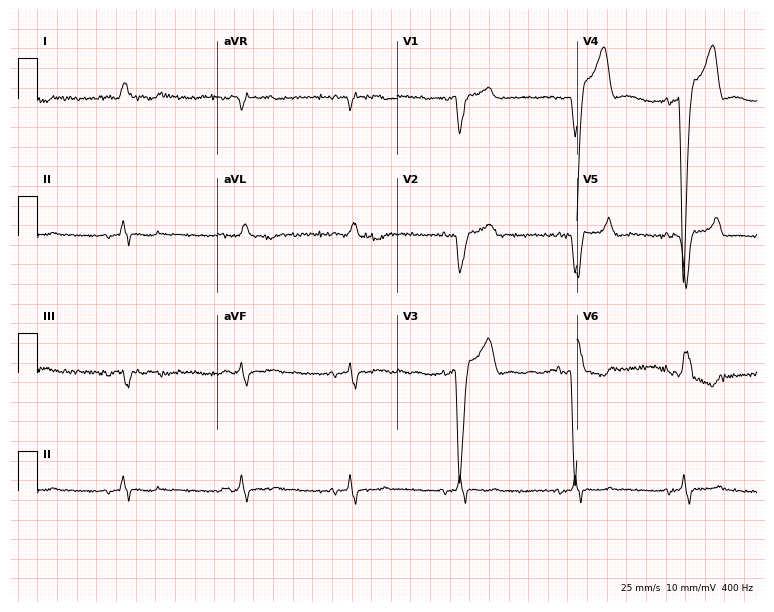
Electrocardiogram, a 62-year-old male patient. Interpretation includes left bundle branch block.